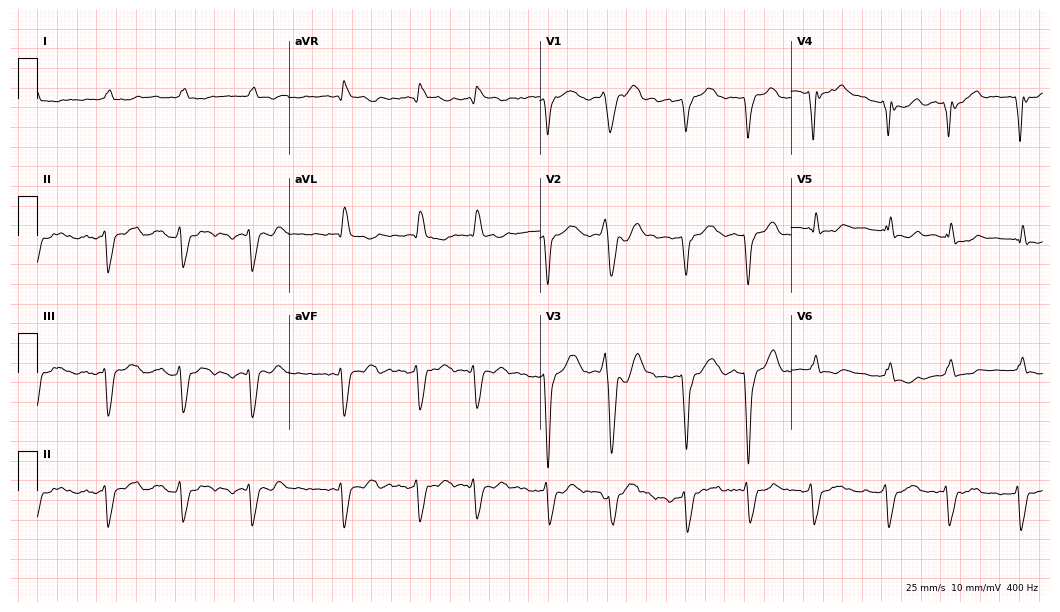
Standard 12-lead ECG recorded from an 80-year-old male. None of these six findings is recorded: first-degree AV block, right bundle branch block, left bundle branch block, sinus bradycardia, atrial fibrillation, sinus tachycardia. Other findings, if any, are not listed.